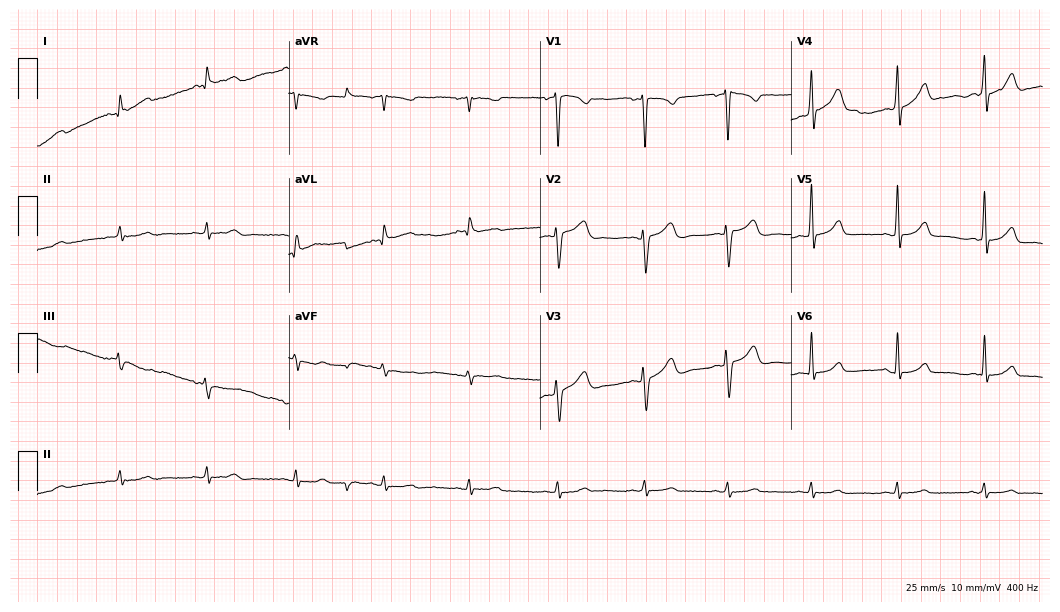
Standard 12-lead ECG recorded from a 45-year-old woman. None of these six findings is recorded: first-degree AV block, right bundle branch block (RBBB), left bundle branch block (LBBB), sinus bradycardia, atrial fibrillation (AF), sinus tachycardia.